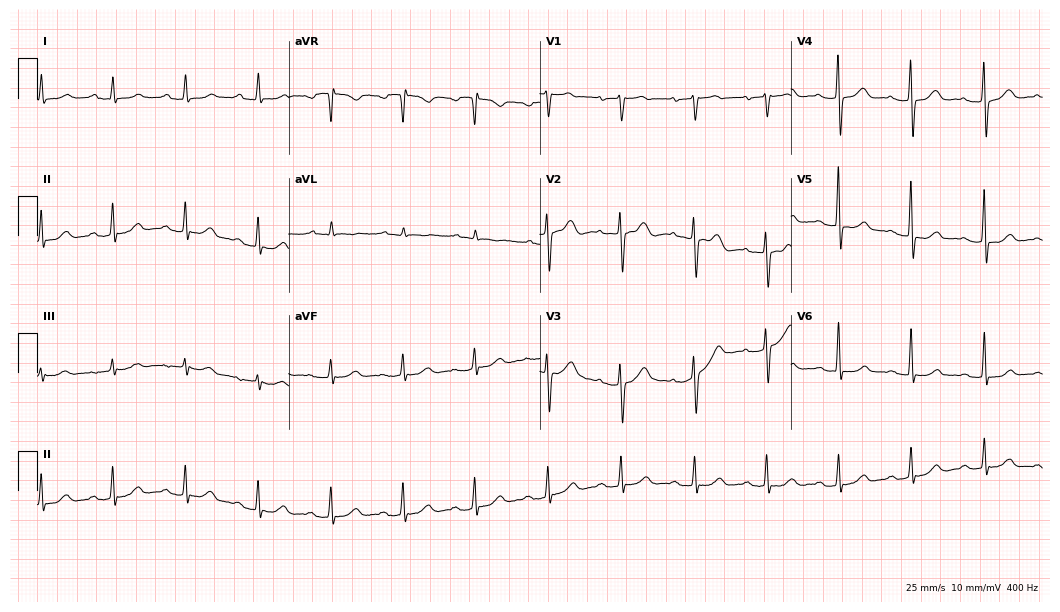
Standard 12-lead ECG recorded from a female, 57 years old (10.2-second recording at 400 Hz). The tracing shows first-degree AV block.